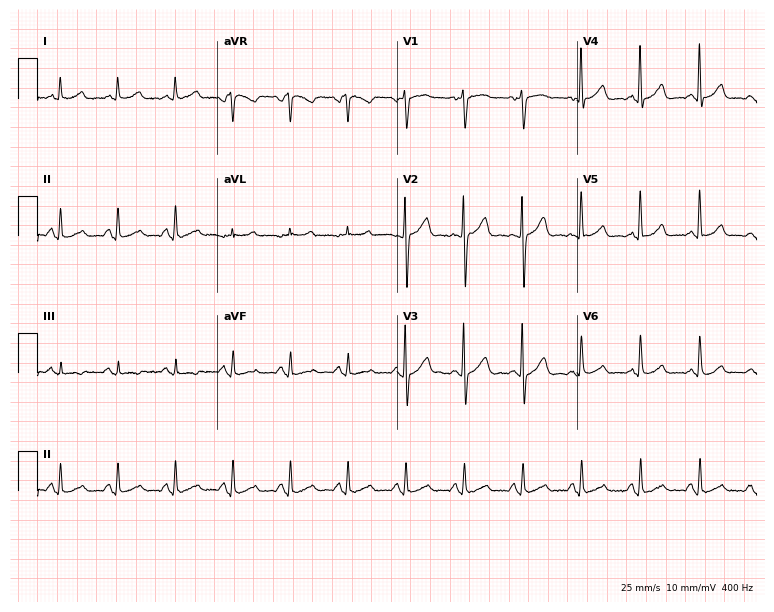
Standard 12-lead ECG recorded from a man, 69 years old. Read as a normal ECG.